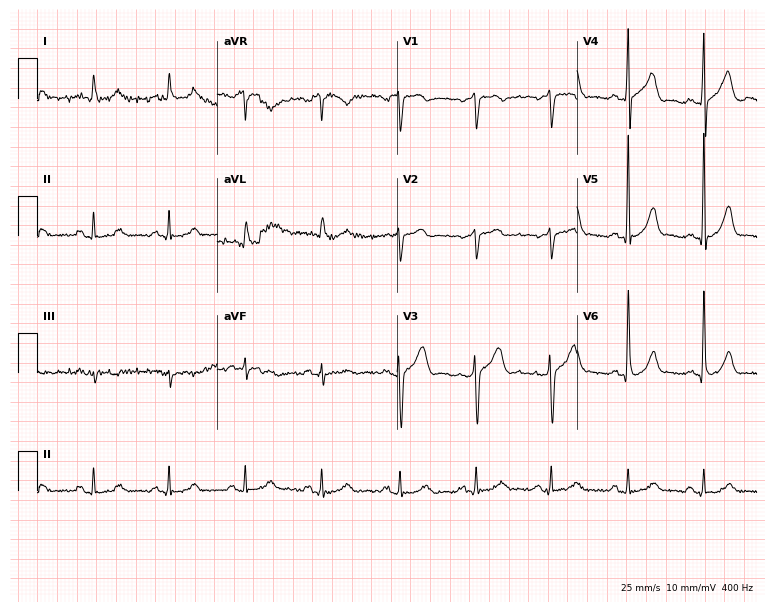
Electrocardiogram (7.3-second recording at 400 Hz), a 57-year-old male. Of the six screened findings (first-degree AV block, right bundle branch block (RBBB), left bundle branch block (LBBB), sinus bradycardia, atrial fibrillation (AF), sinus tachycardia), none is recorded.